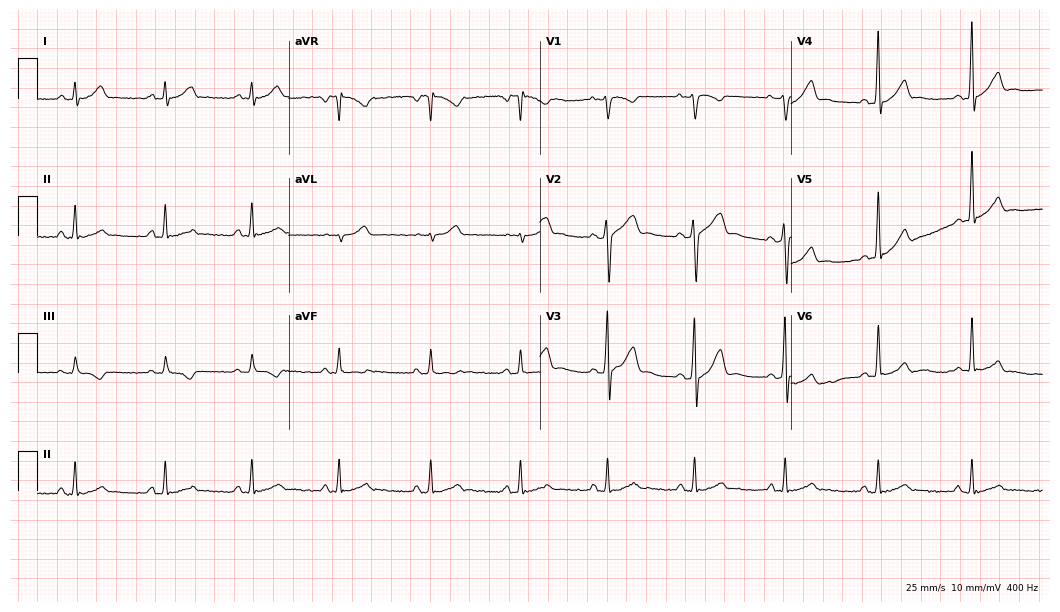
Resting 12-lead electrocardiogram. Patient: a man, 42 years old. Read as a normal ECG.